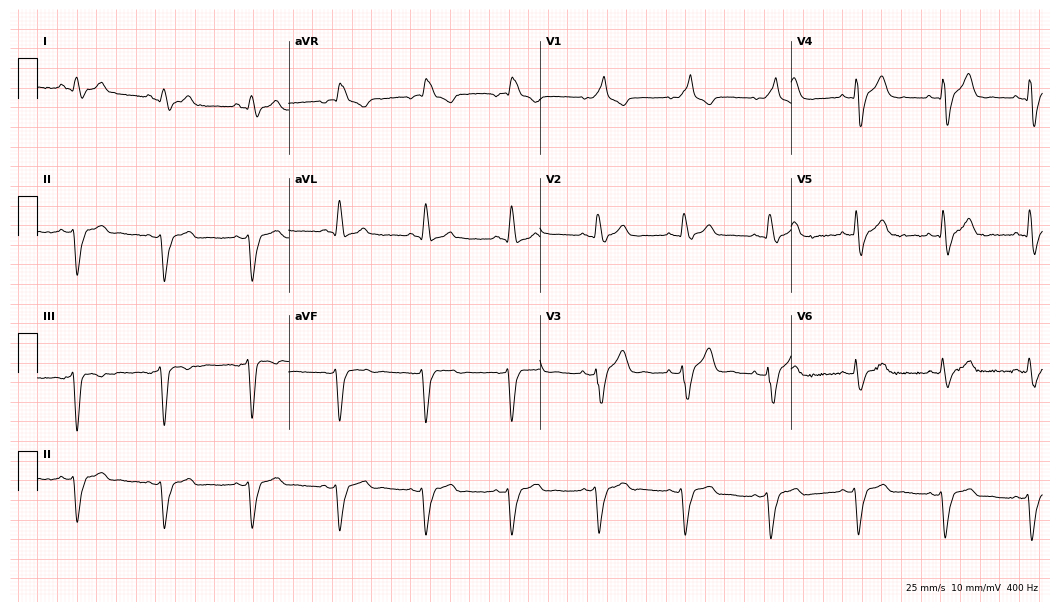
Electrocardiogram (10.2-second recording at 400 Hz), a 68-year-old male patient. Interpretation includes right bundle branch block (RBBB).